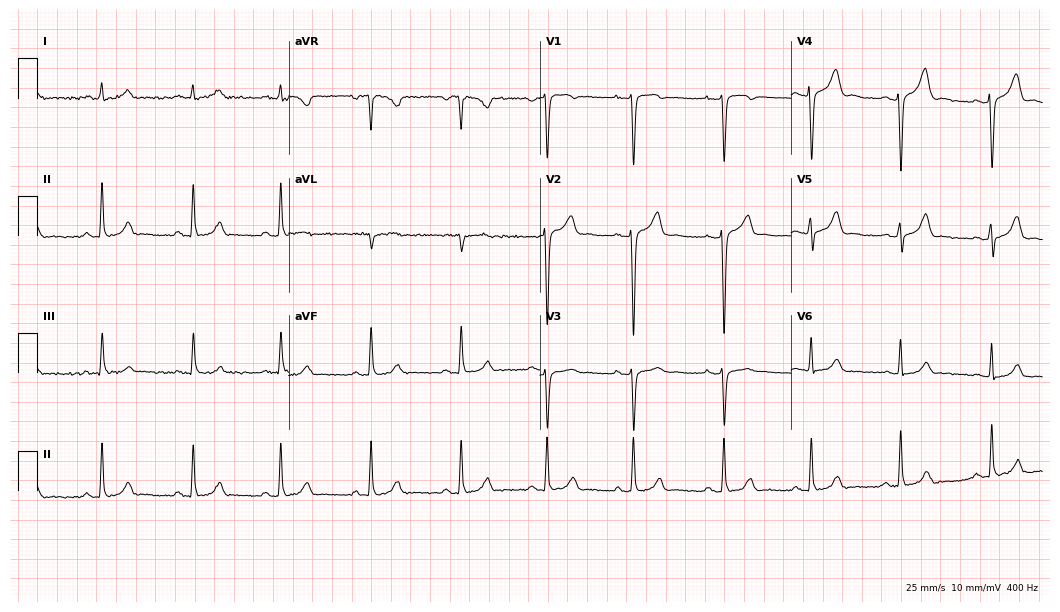
ECG (10.2-second recording at 400 Hz) — a male patient, 31 years old. Labelled as a normal ECG.